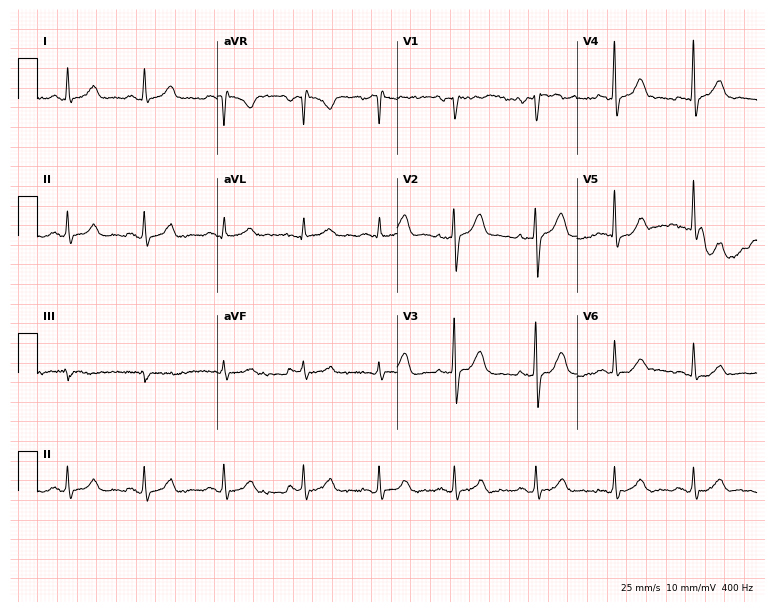
Resting 12-lead electrocardiogram (7.3-second recording at 400 Hz). Patient: a 46-year-old man. Read as a normal ECG.